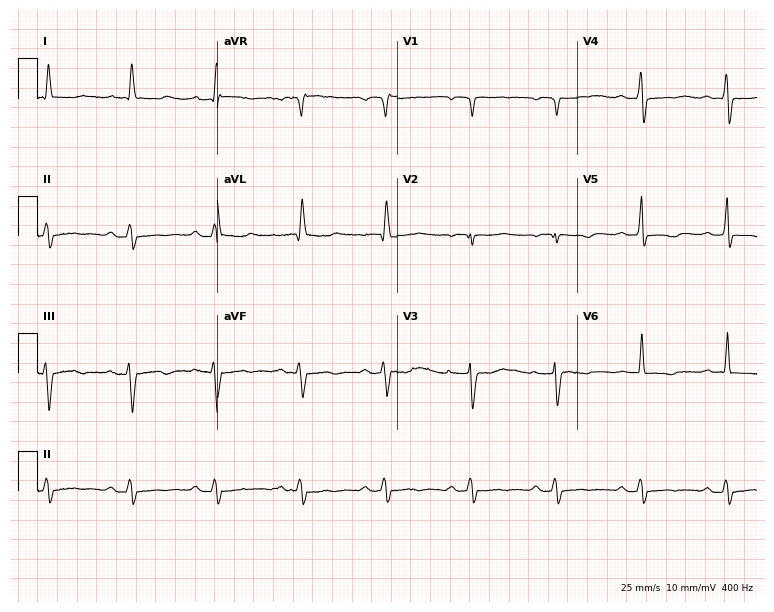
ECG — a male patient, 82 years old. Screened for six findings — first-degree AV block, right bundle branch block, left bundle branch block, sinus bradycardia, atrial fibrillation, sinus tachycardia — none is recorded. Only these six findings were labelled.